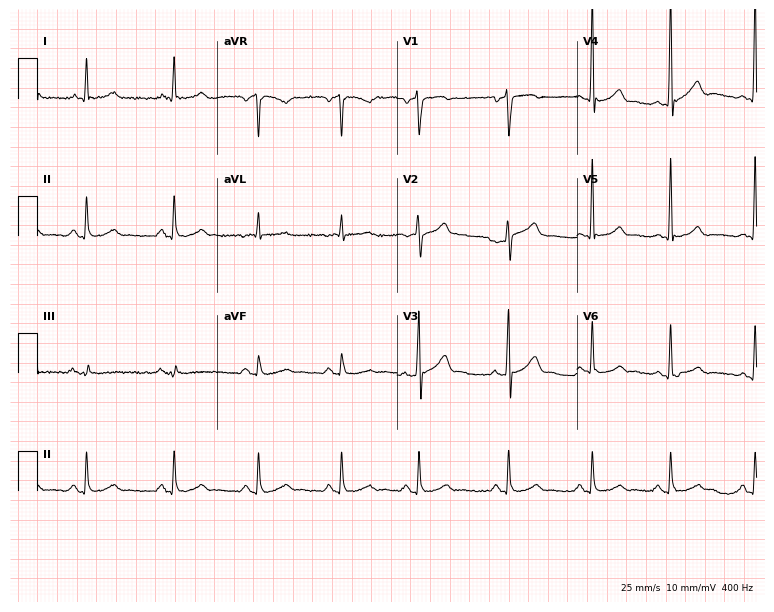
12-lead ECG from a man, 64 years old (7.3-second recording at 400 Hz). Recorded interpretation: within normal limits.